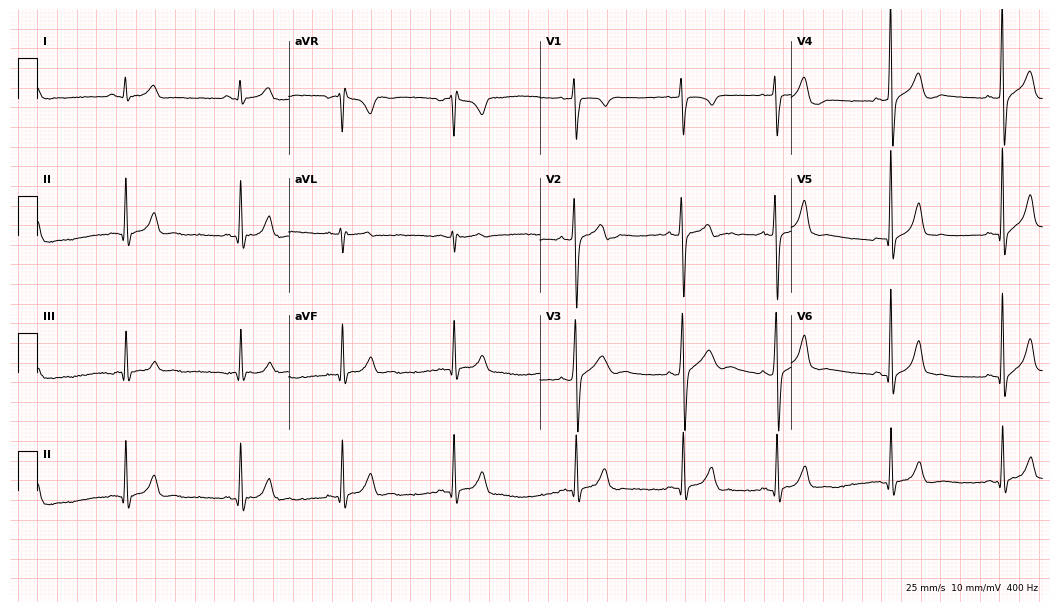
Electrocardiogram, a 24-year-old man. Overall reading on record: normal ECG.